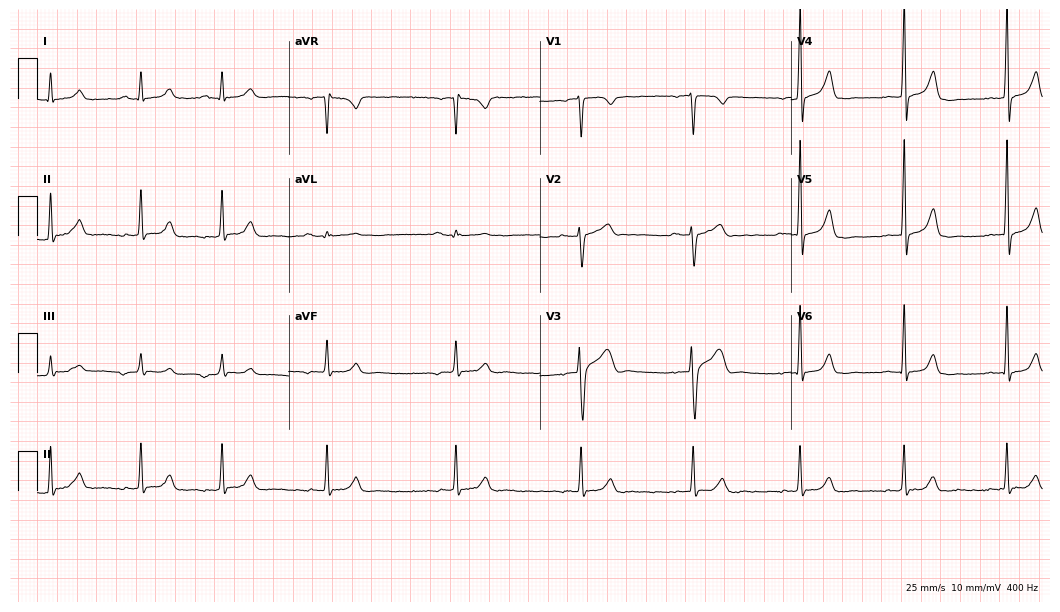
Resting 12-lead electrocardiogram. Patient: a 45-year-old man. Read as a normal ECG.